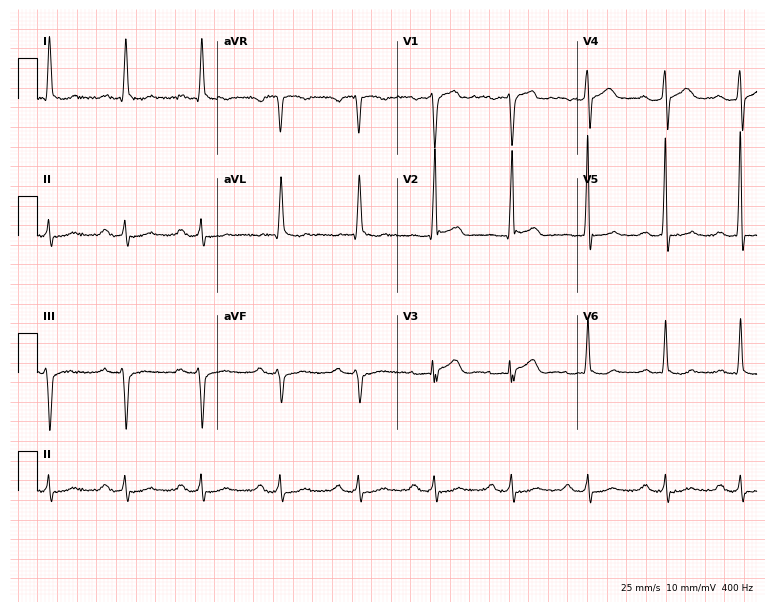
Resting 12-lead electrocardiogram. Patient: a 73-year-old male. None of these six findings is recorded: first-degree AV block, right bundle branch block, left bundle branch block, sinus bradycardia, atrial fibrillation, sinus tachycardia.